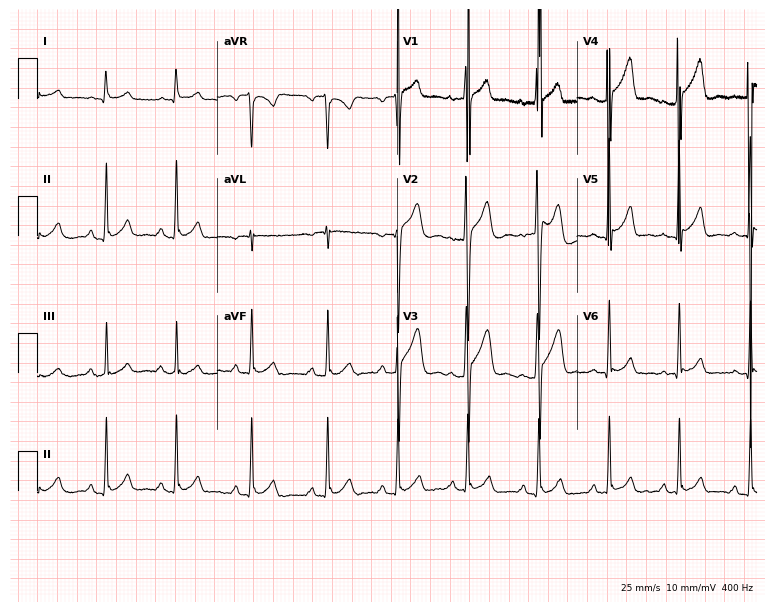
12-lead ECG (7.3-second recording at 400 Hz) from a 21-year-old man. Labelled as a normal ECG.